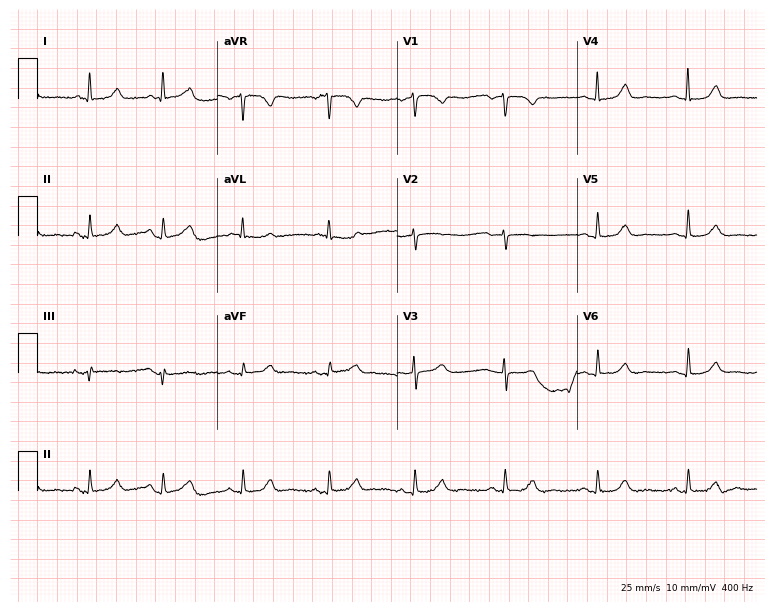
Resting 12-lead electrocardiogram (7.3-second recording at 400 Hz). Patient: a female, 57 years old. Read as a normal ECG.